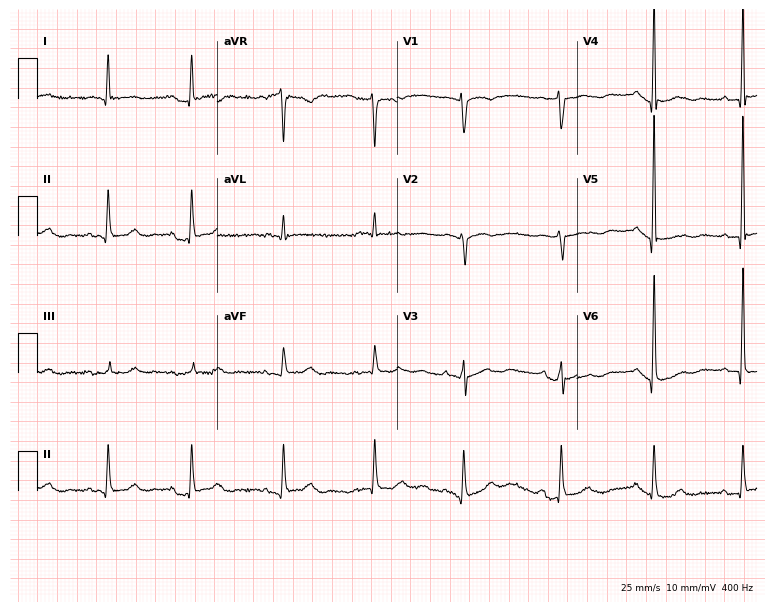
Resting 12-lead electrocardiogram (7.3-second recording at 400 Hz). Patient: an 81-year-old female. Read as a normal ECG.